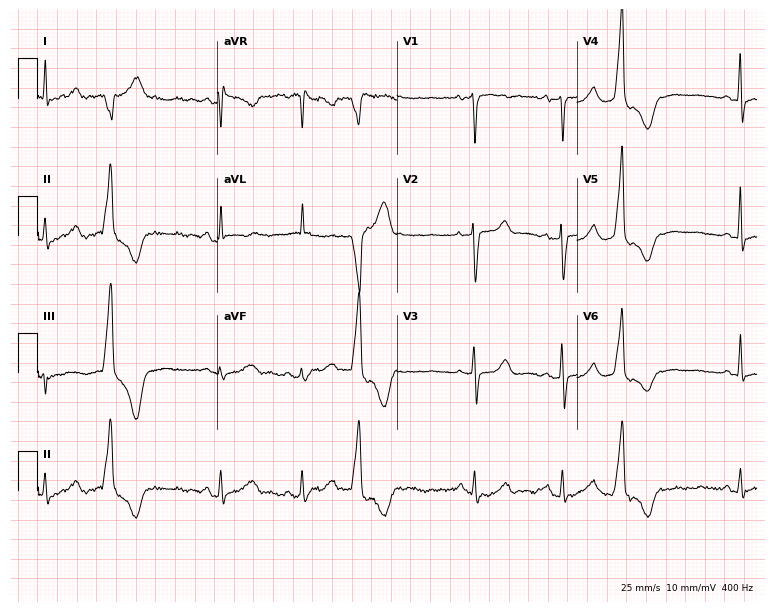
Resting 12-lead electrocardiogram. Patient: a woman, 60 years old. None of these six findings is recorded: first-degree AV block, right bundle branch block, left bundle branch block, sinus bradycardia, atrial fibrillation, sinus tachycardia.